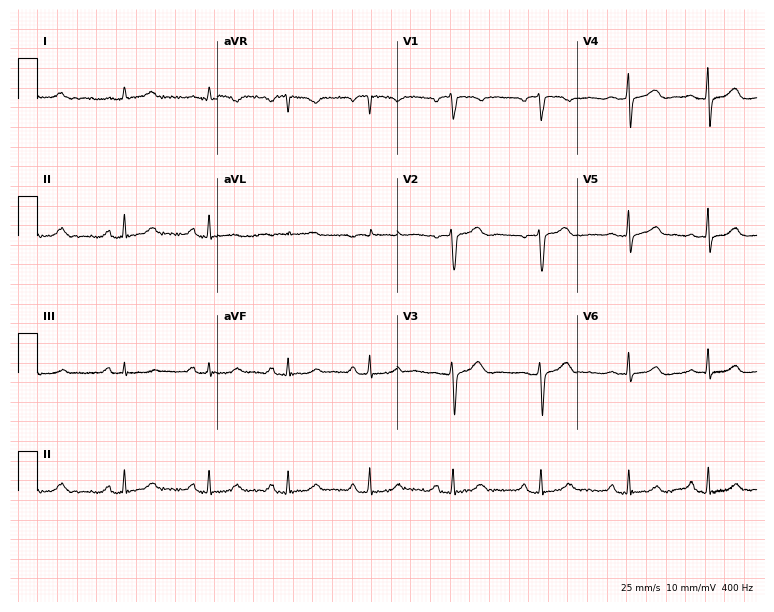
Resting 12-lead electrocardiogram. Patient: a 33-year-old woman. Read as a normal ECG.